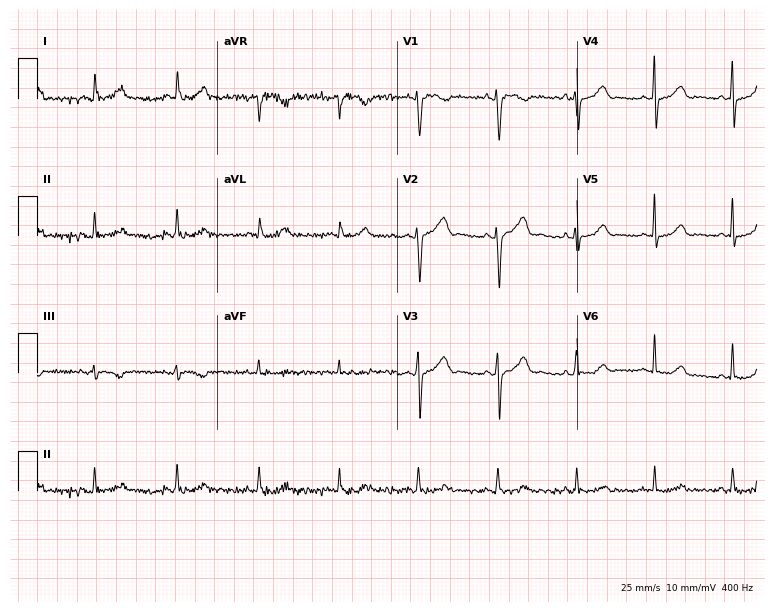
12-lead ECG from a 35-year-old female. Recorded interpretation: within normal limits.